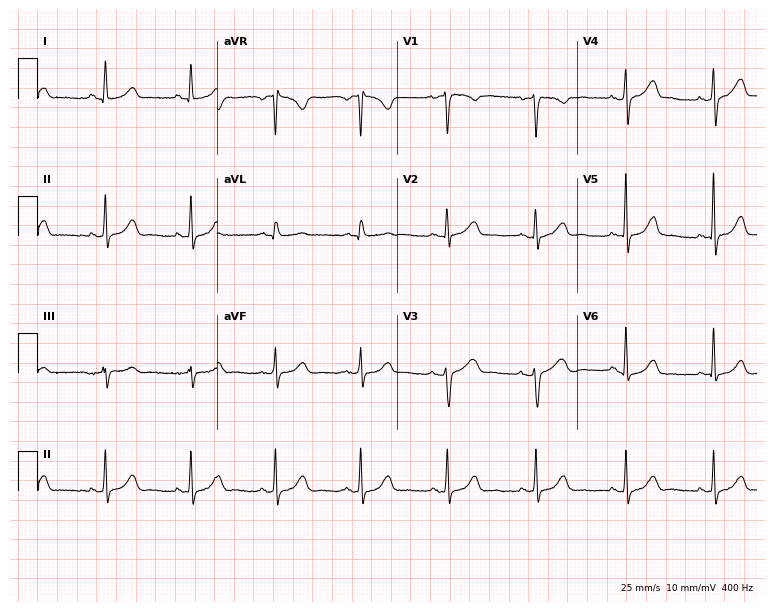
Electrocardiogram, a woman, 41 years old. Overall reading on record: normal ECG.